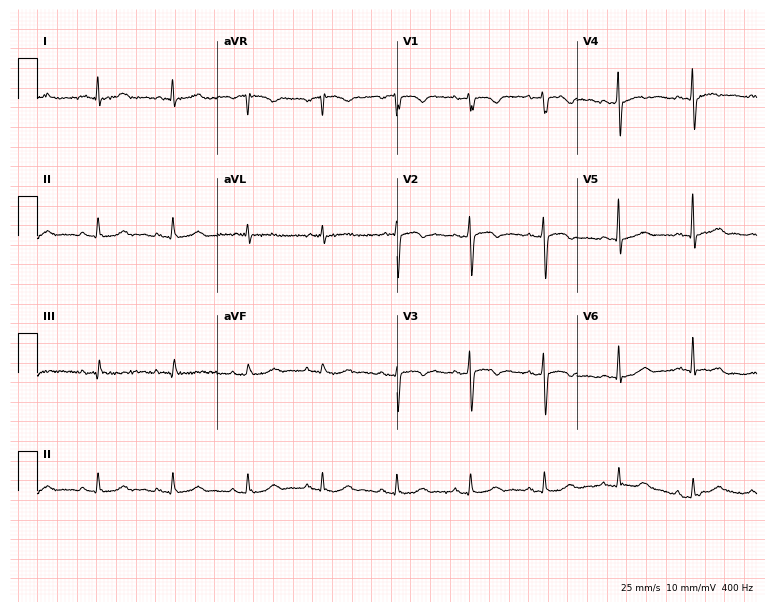
Resting 12-lead electrocardiogram (7.3-second recording at 400 Hz). Patient: a male, 77 years old. None of these six findings is recorded: first-degree AV block, right bundle branch block (RBBB), left bundle branch block (LBBB), sinus bradycardia, atrial fibrillation (AF), sinus tachycardia. Findings outside these six are not listed.